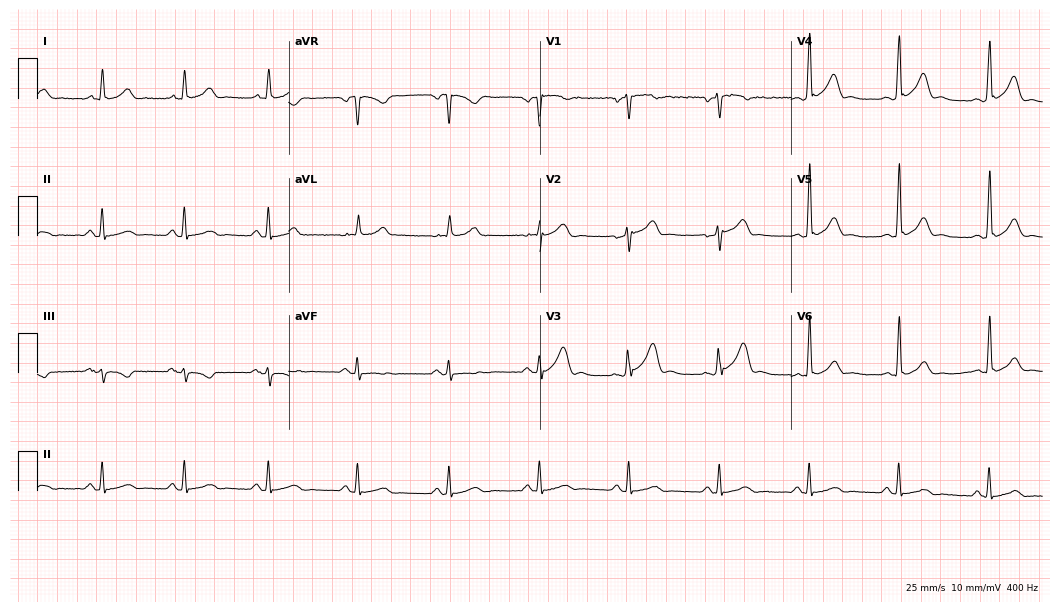
ECG (10.2-second recording at 400 Hz) — a man, 42 years old. Screened for six findings — first-degree AV block, right bundle branch block (RBBB), left bundle branch block (LBBB), sinus bradycardia, atrial fibrillation (AF), sinus tachycardia — none is recorded. Findings outside these six are not listed.